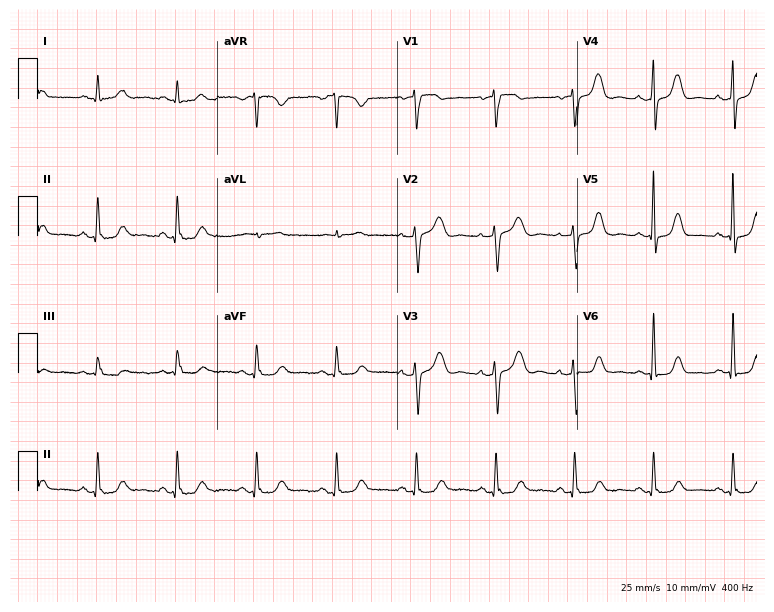
Electrocardiogram, a 65-year-old woman. Of the six screened findings (first-degree AV block, right bundle branch block, left bundle branch block, sinus bradycardia, atrial fibrillation, sinus tachycardia), none is recorded.